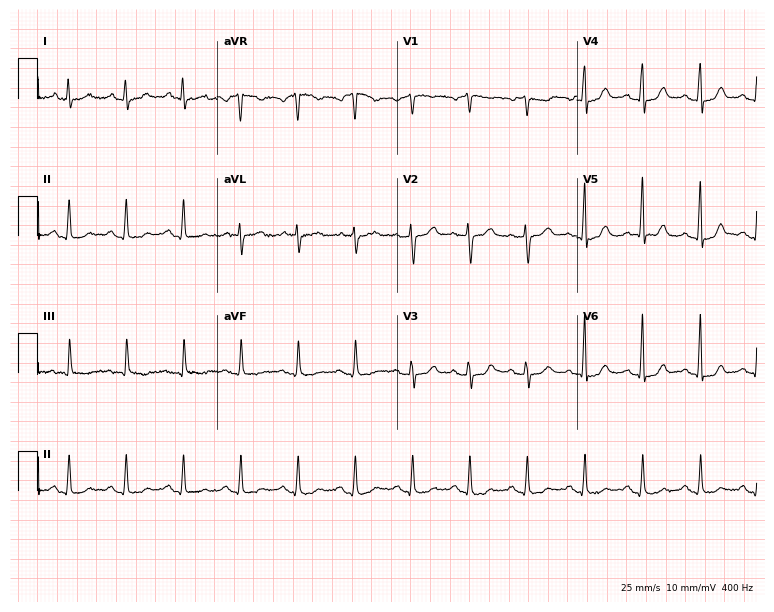
Electrocardiogram (7.3-second recording at 400 Hz), an 82-year-old female patient. Interpretation includes sinus tachycardia (a sinus rate of 100 beats per minute or more).